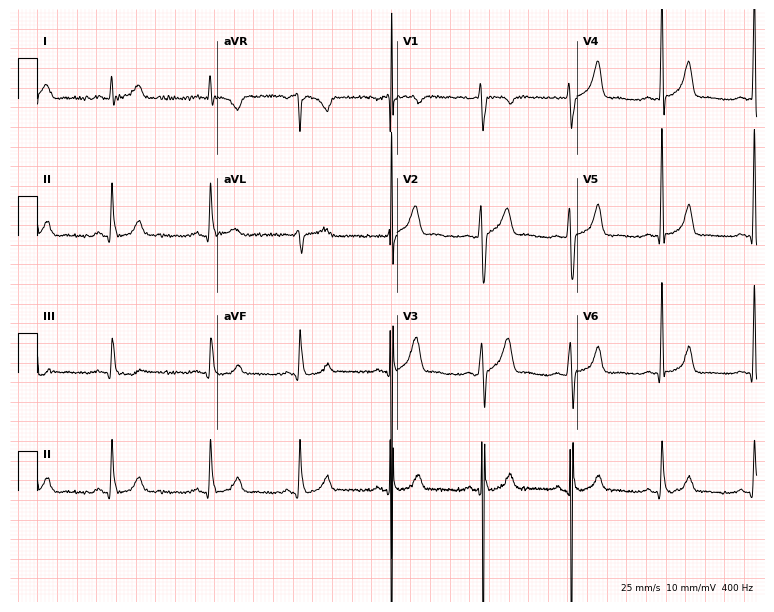
Standard 12-lead ECG recorded from a male, 24 years old. None of these six findings is recorded: first-degree AV block, right bundle branch block, left bundle branch block, sinus bradycardia, atrial fibrillation, sinus tachycardia.